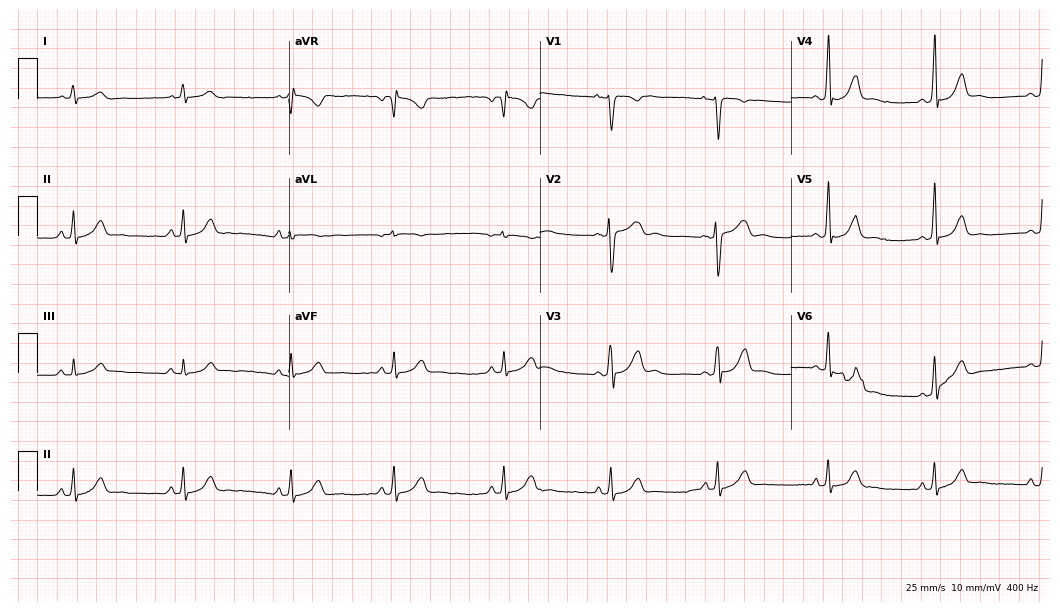
Standard 12-lead ECG recorded from a 29-year-old woman. Read as a normal ECG.